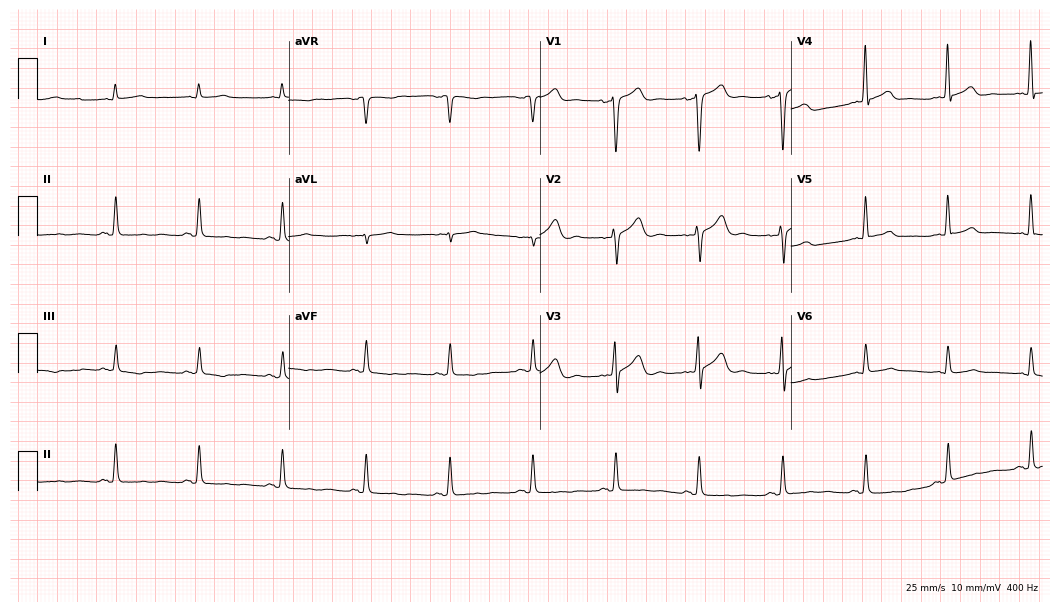
Resting 12-lead electrocardiogram (10.2-second recording at 400 Hz). Patient: a 45-year-old man. None of these six findings is recorded: first-degree AV block, right bundle branch block, left bundle branch block, sinus bradycardia, atrial fibrillation, sinus tachycardia.